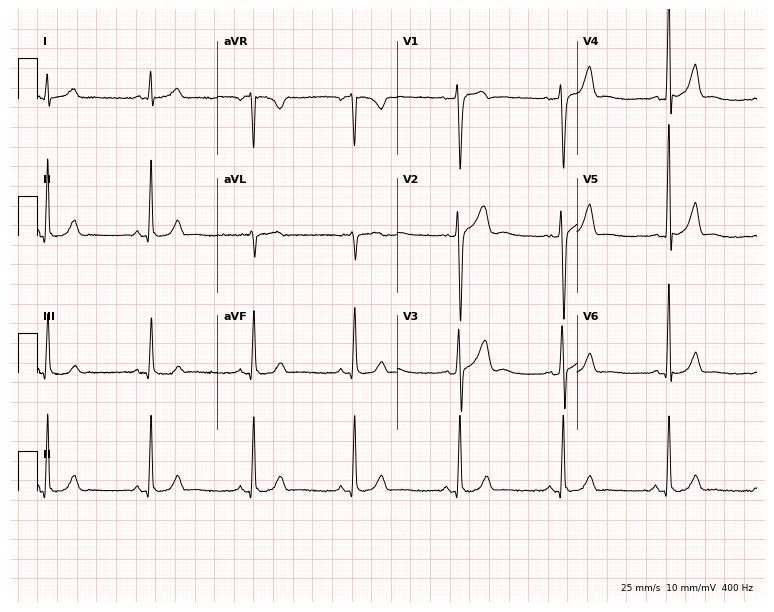
Standard 12-lead ECG recorded from a male patient, 26 years old (7.3-second recording at 400 Hz). None of these six findings is recorded: first-degree AV block, right bundle branch block, left bundle branch block, sinus bradycardia, atrial fibrillation, sinus tachycardia.